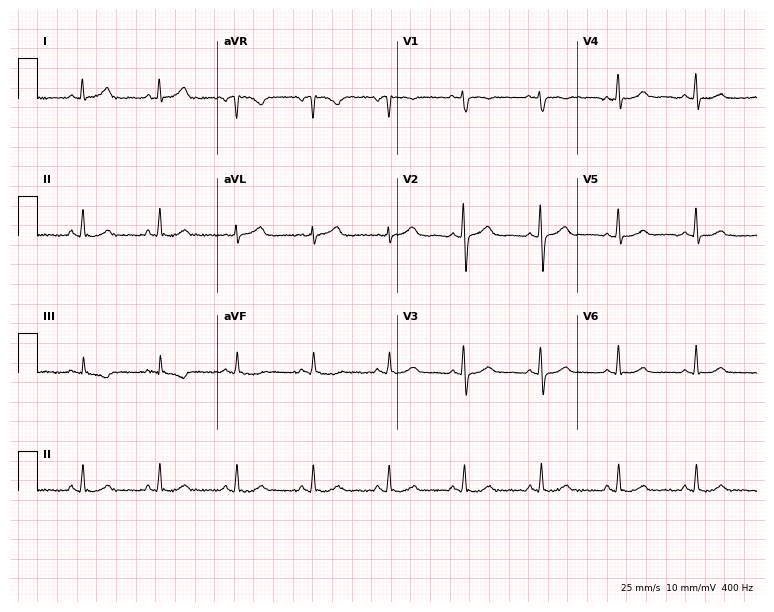
ECG — a 48-year-old female. Screened for six findings — first-degree AV block, right bundle branch block (RBBB), left bundle branch block (LBBB), sinus bradycardia, atrial fibrillation (AF), sinus tachycardia — none is recorded. Findings outside these six are not listed.